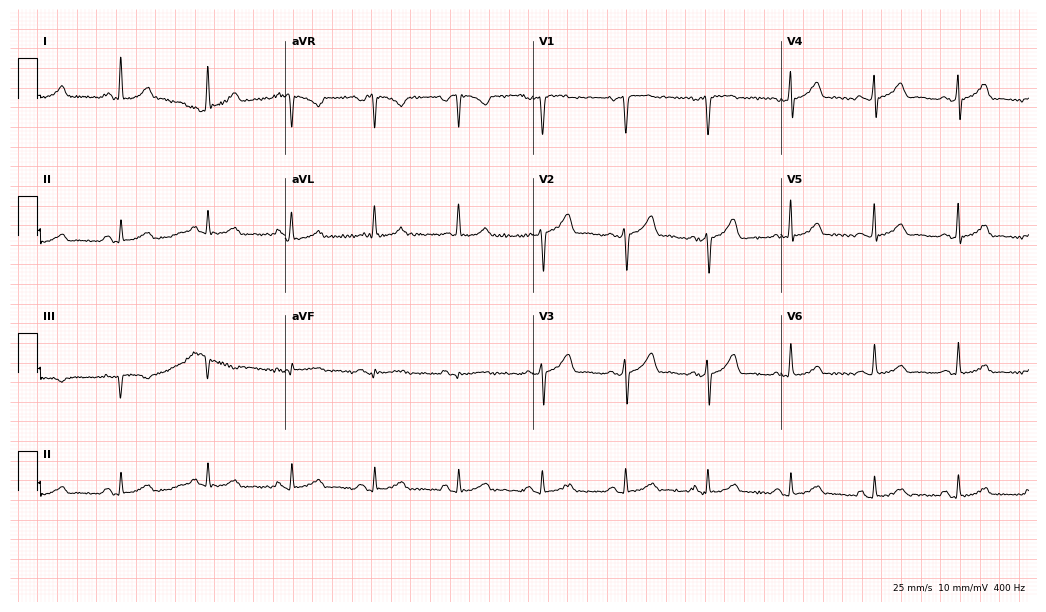
Electrocardiogram, a woman, 48 years old. Overall reading on record: normal ECG.